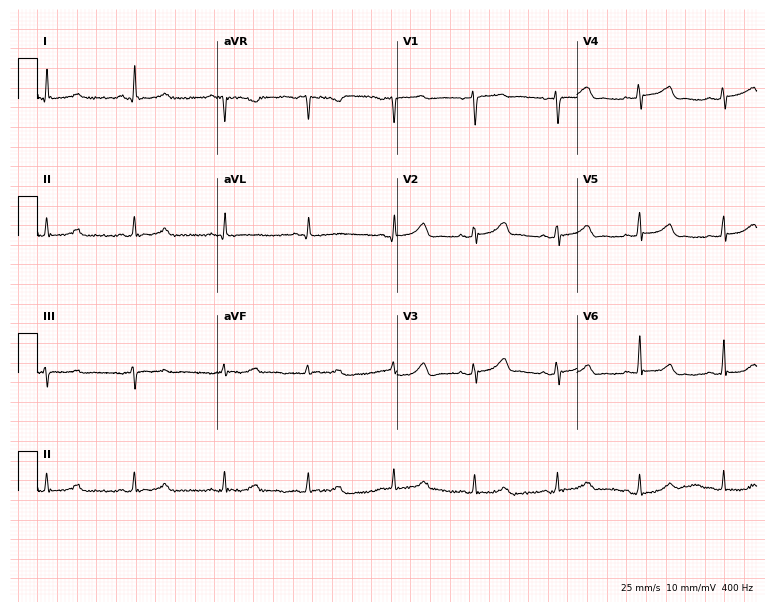
12-lead ECG from a woman, 49 years old. No first-degree AV block, right bundle branch block, left bundle branch block, sinus bradycardia, atrial fibrillation or sinus tachycardia recorded for this tracing. Other findings, if any, are not listed.